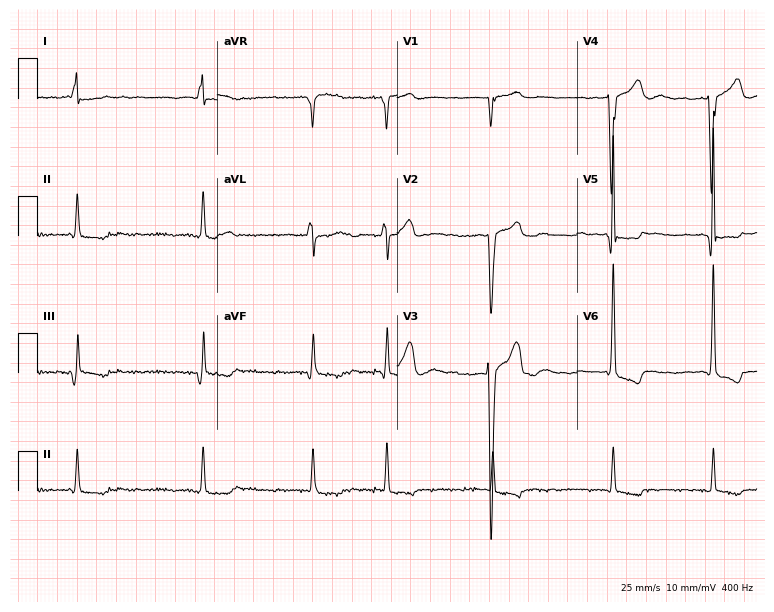
ECG (7.3-second recording at 400 Hz) — a male, 77 years old. Findings include atrial fibrillation.